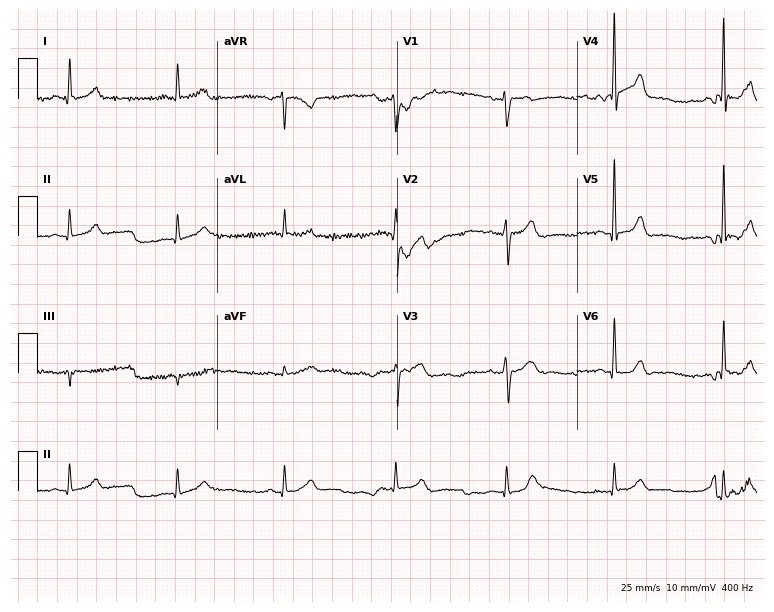
Electrocardiogram (7.3-second recording at 400 Hz), a male, 59 years old. Overall reading on record: normal ECG.